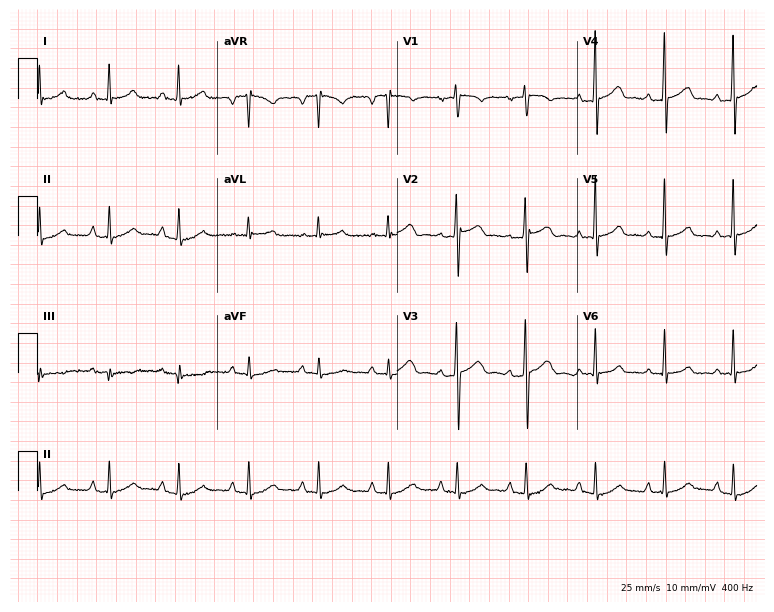
12-lead ECG from a 62-year-old male. Labelled as a normal ECG.